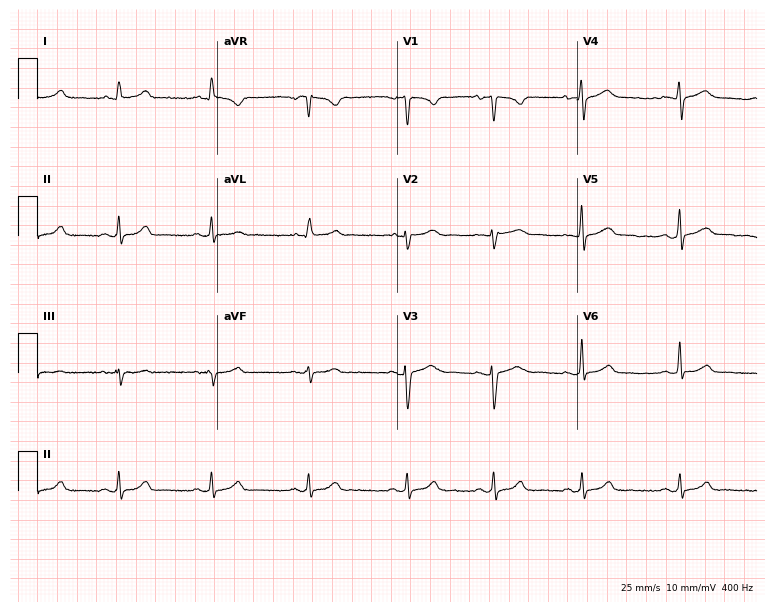
12-lead ECG from a 25-year-old woman (7.3-second recording at 400 Hz). Recorded interpretation: within normal limits.